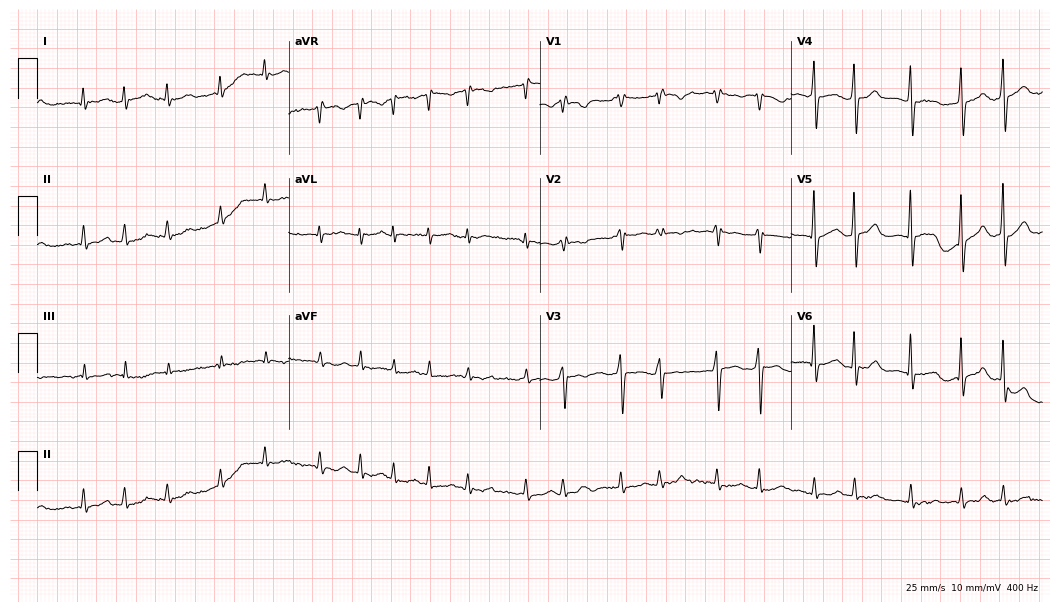
Resting 12-lead electrocardiogram (10.2-second recording at 400 Hz). Patient: a 52-year-old man. None of these six findings is recorded: first-degree AV block, right bundle branch block, left bundle branch block, sinus bradycardia, atrial fibrillation, sinus tachycardia. Only these six findings were labelled.